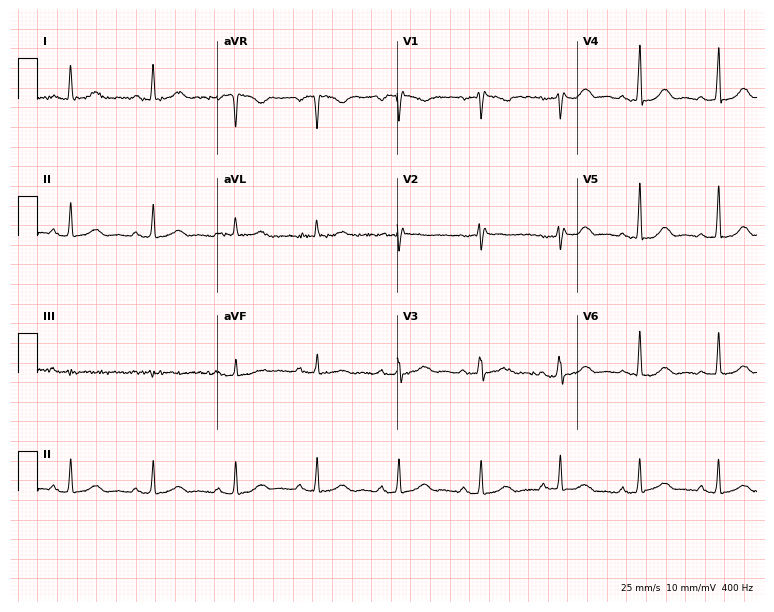
ECG — a 44-year-old female patient. Labelled as a normal ECG.